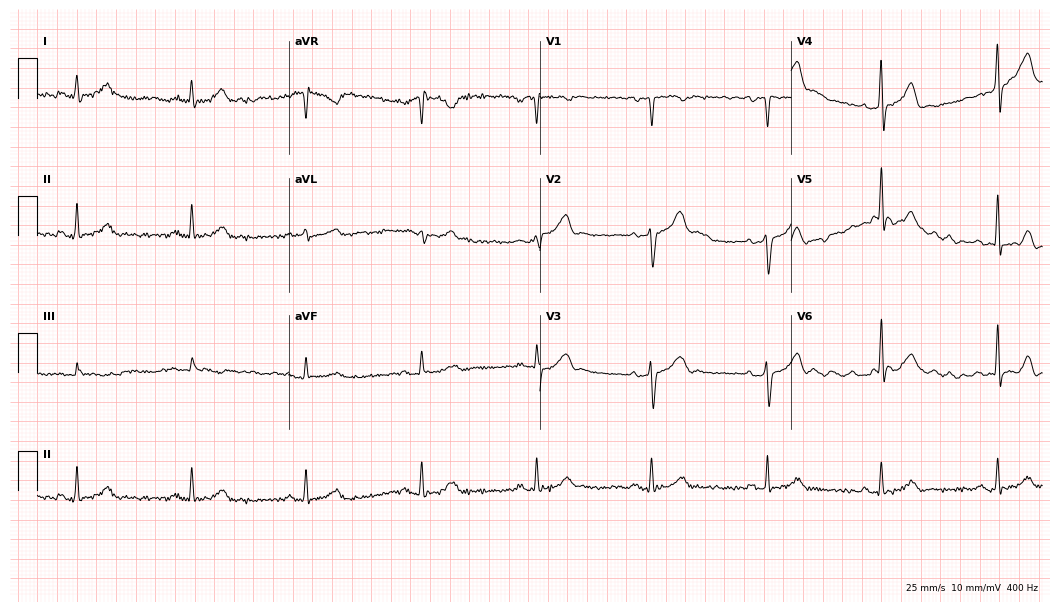
12-lead ECG from a 74-year-old male. Recorded interpretation: within normal limits.